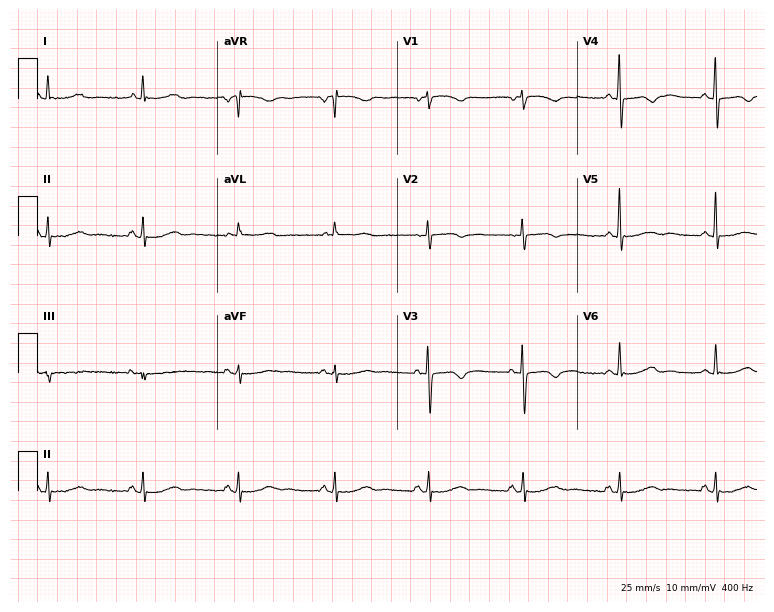
12-lead ECG from a woman, 74 years old. No first-degree AV block, right bundle branch block, left bundle branch block, sinus bradycardia, atrial fibrillation or sinus tachycardia recorded for this tracing. Other findings, if any, are not listed.